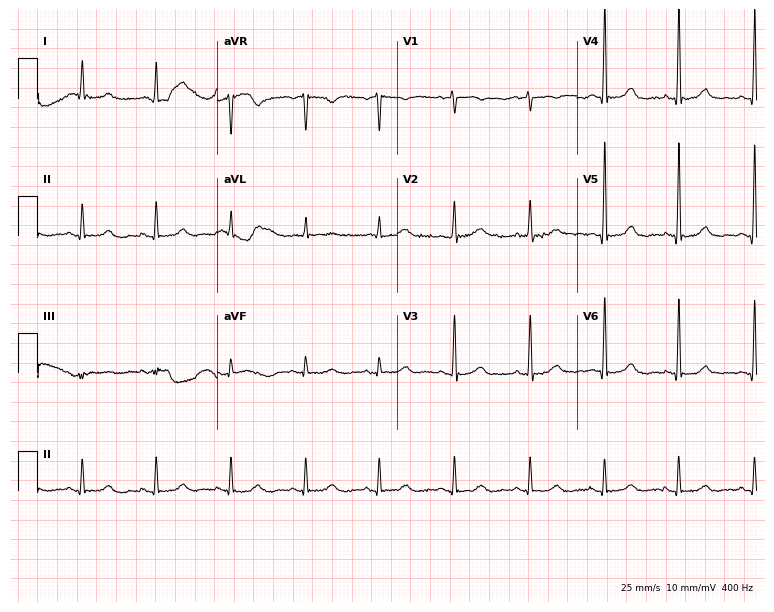
Resting 12-lead electrocardiogram. Patient: a female, 74 years old. None of these six findings is recorded: first-degree AV block, right bundle branch block, left bundle branch block, sinus bradycardia, atrial fibrillation, sinus tachycardia. Findings outside these six are not listed.